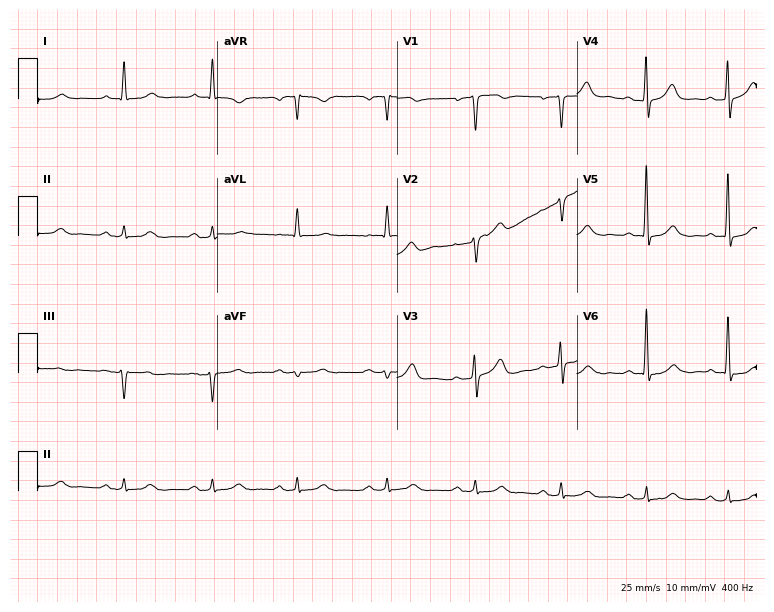
Electrocardiogram, a 65-year-old male. Of the six screened findings (first-degree AV block, right bundle branch block (RBBB), left bundle branch block (LBBB), sinus bradycardia, atrial fibrillation (AF), sinus tachycardia), none is recorded. Findings outside these six are not listed.